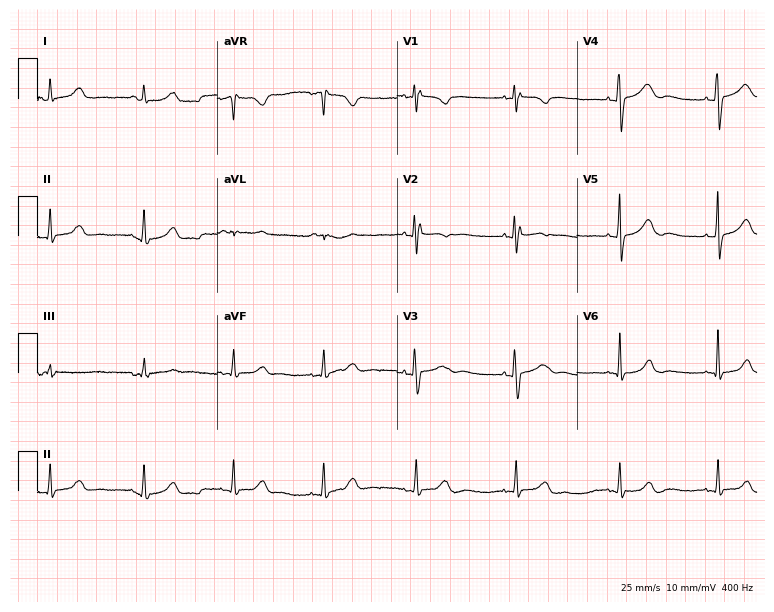
12-lead ECG (7.3-second recording at 400 Hz) from a female, 41 years old. Screened for six findings — first-degree AV block, right bundle branch block, left bundle branch block, sinus bradycardia, atrial fibrillation, sinus tachycardia — none is recorded. Only these six findings were labelled.